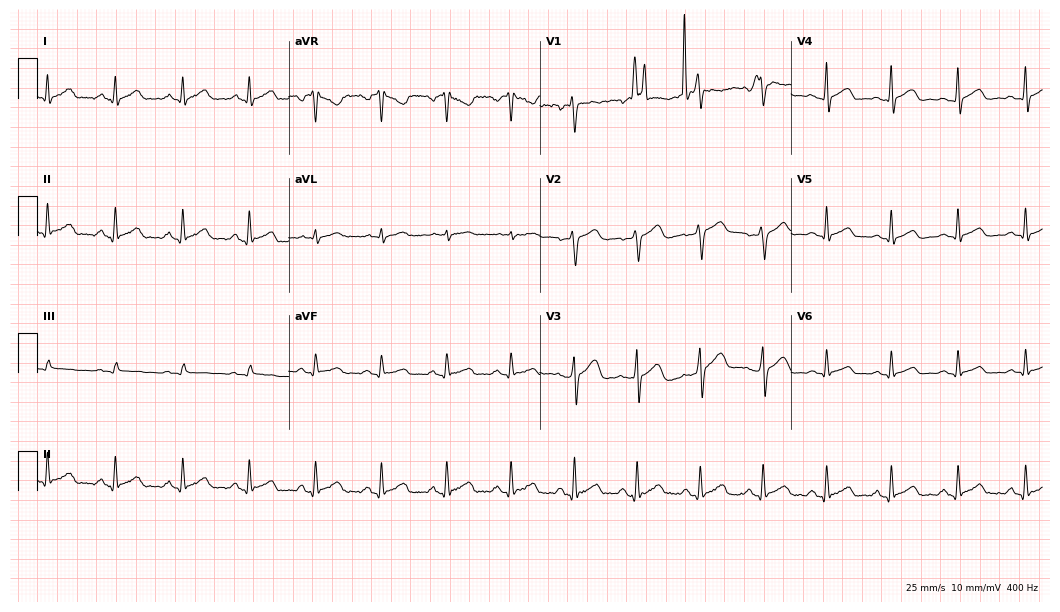
Electrocardiogram (10.2-second recording at 400 Hz), a man, 30 years old. Overall reading on record: normal ECG.